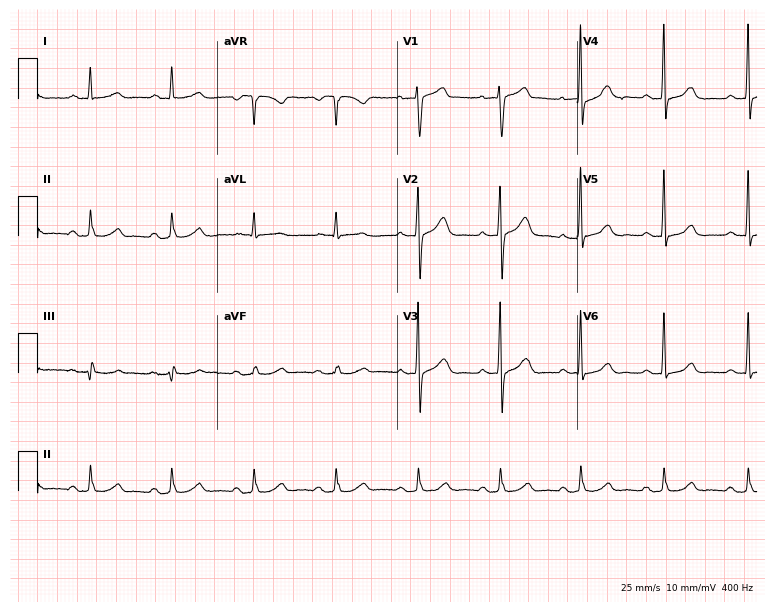
Resting 12-lead electrocardiogram. Patient: a 67-year-old male. Read as a normal ECG.